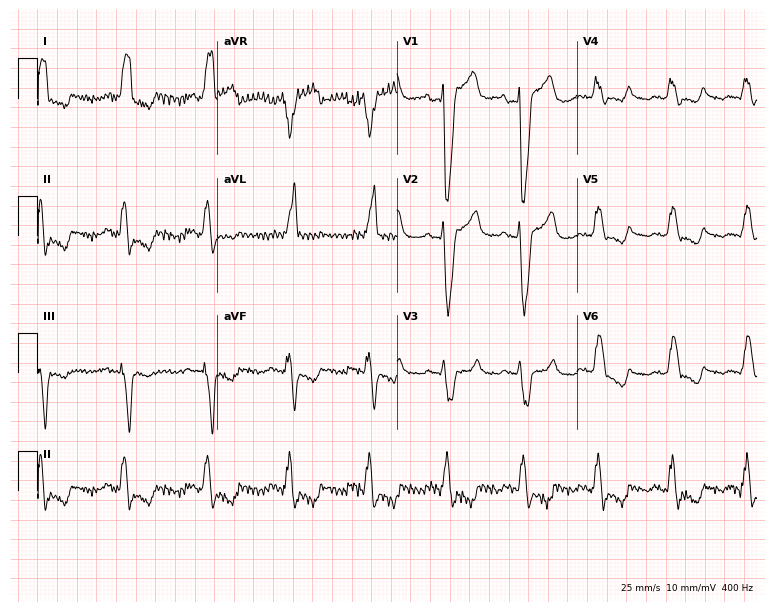
Standard 12-lead ECG recorded from a female, 81 years old. The tracing shows left bundle branch block.